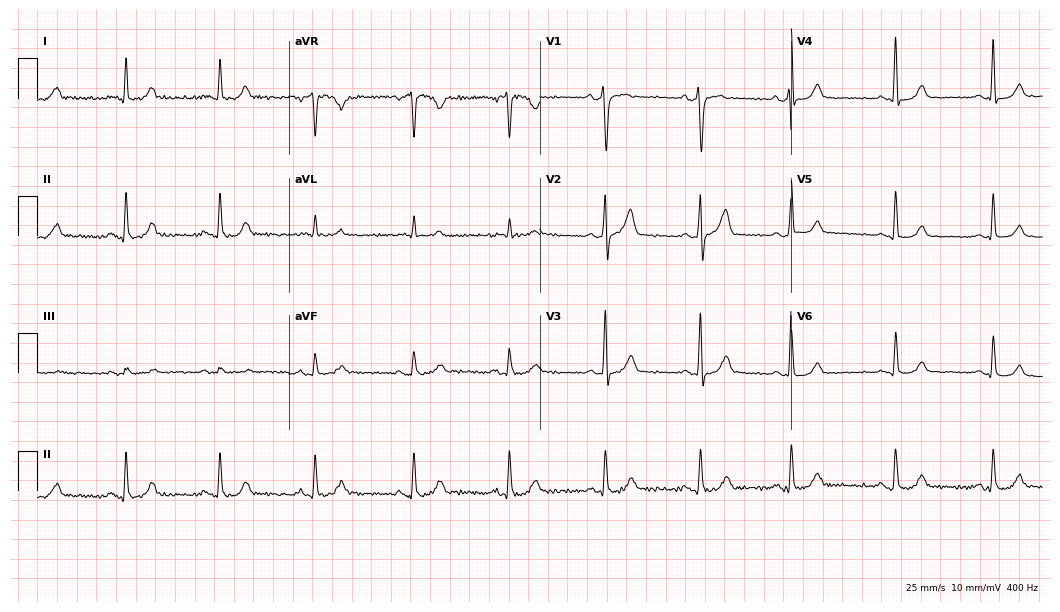
Electrocardiogram (10.2-second recording at 400 Hz), a 67-year-old female patient. Overall reading on record: normal ECG.